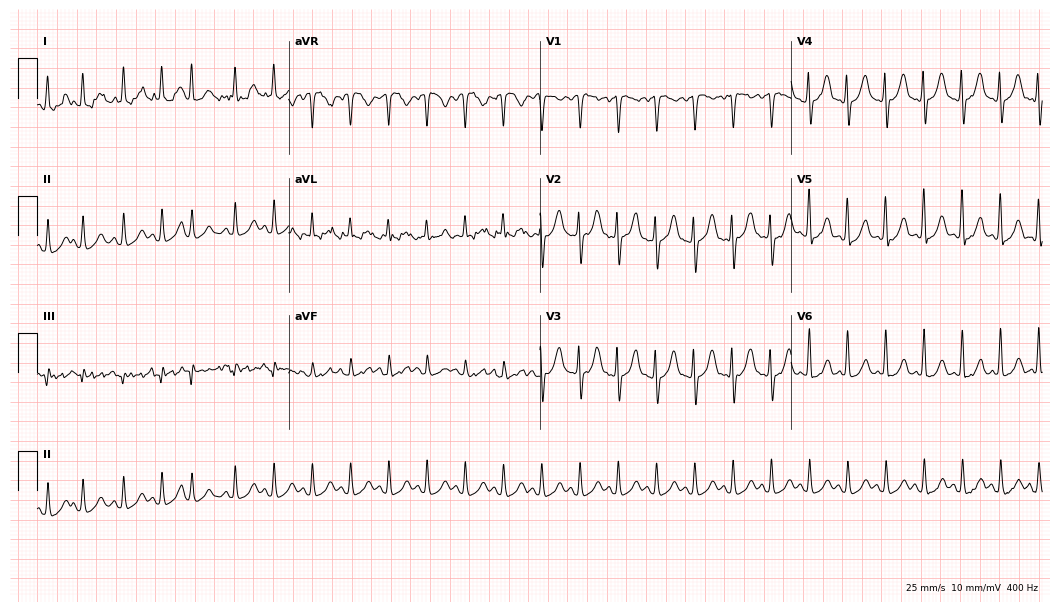
Electrocardiogram (10.2-second recording at 400 Hz), a male, 46 years old. Interpretation includes sinus tachycardia (a sinus rate of 100 beats per minute or more).